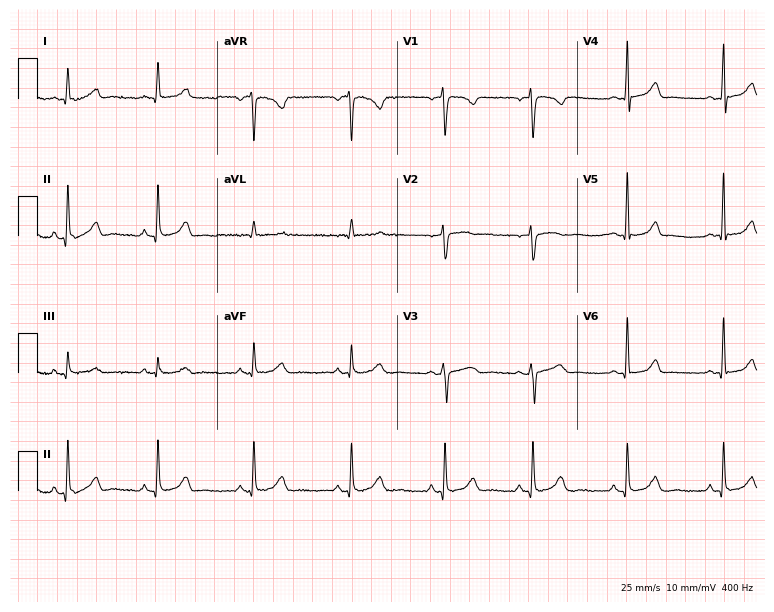
ECG — a female patient, 50 years old. Labelled as a normal ECG.